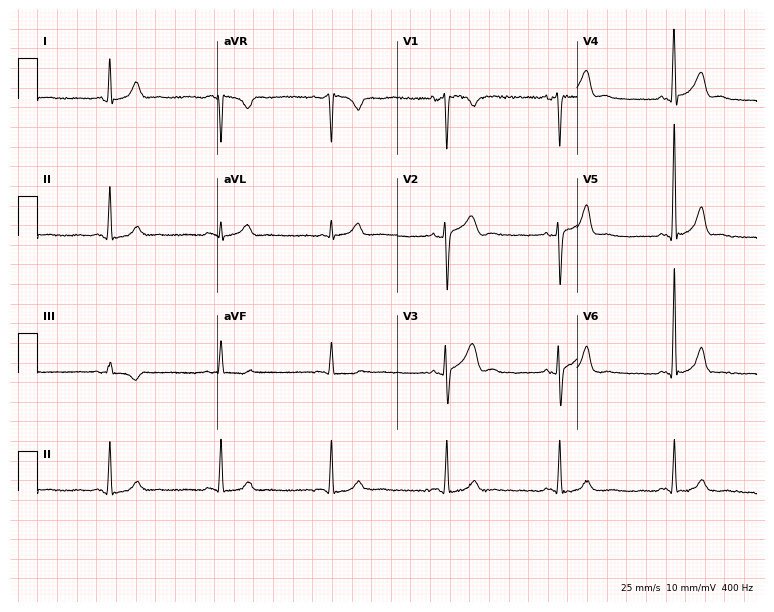
12-lead ECG (7.3-second recording at 400 Hz) from a man, 37 years old. Screened for six findings — first-degree AV block, right bundle branch block, left bundle branch block, sinus bradycardia, atrial fibrillation, sinus tachycardia — none is recorded.